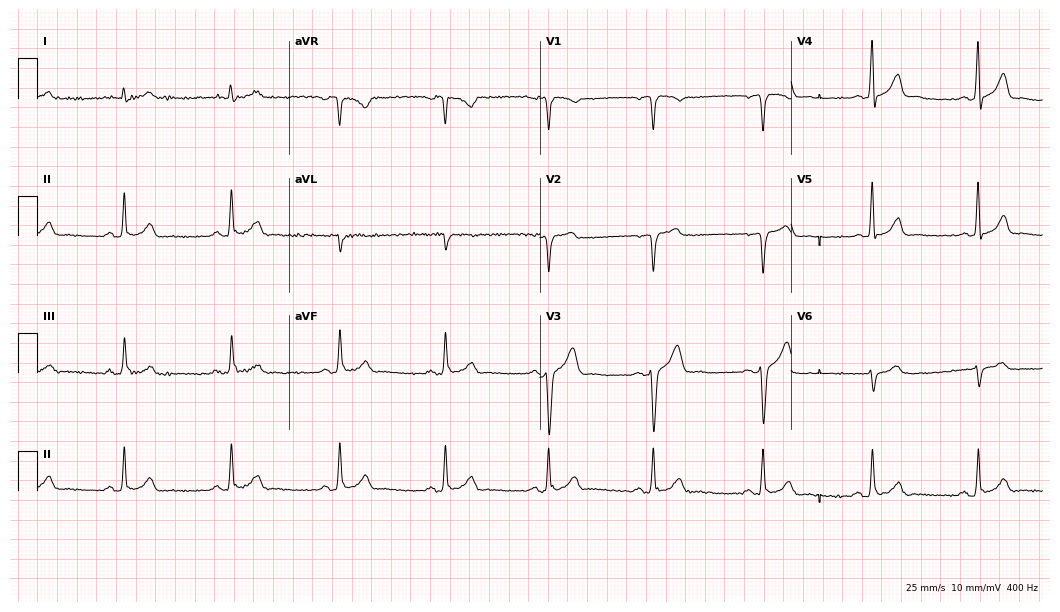
12-lead ECG from a 49-year-old man (10.2-second recording at 400 Hz). Recorded interpretation: within normal limits.